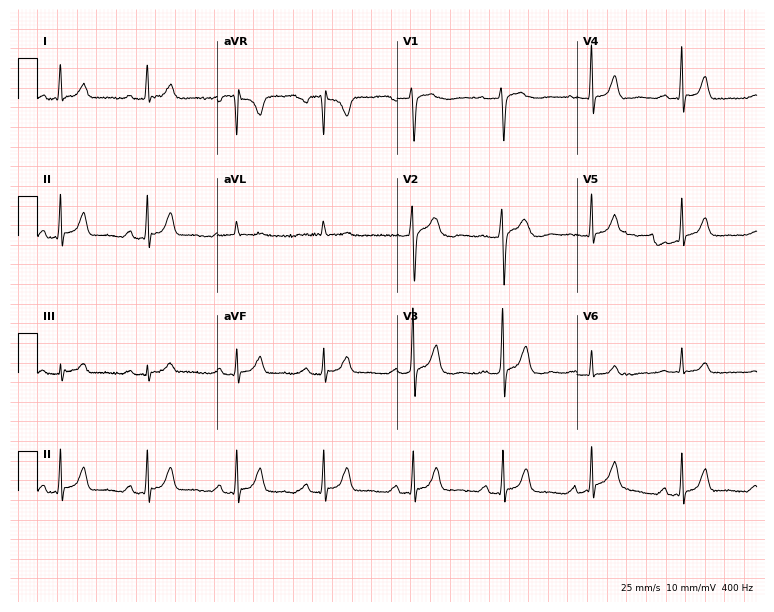
ECG — an 83-year-old female patient. Screened for six findings — first-degree AV block, right bundle branch block, left bundle branch block, sinus bradycardia, atrial fibrillation, sinus tachycardia — none is recorded.